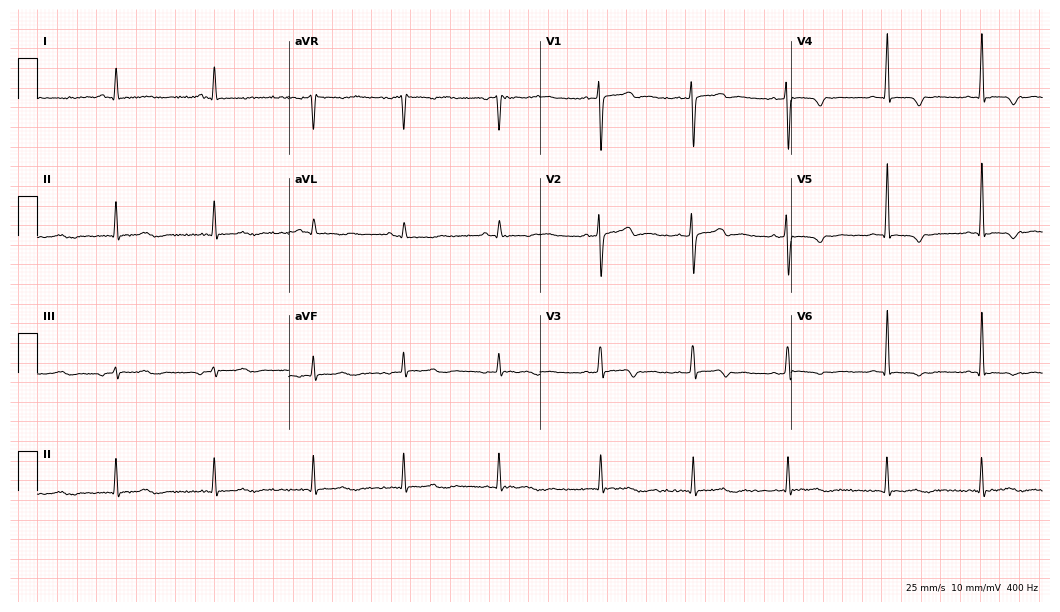
Standard 12-lead ECG recorded from a 20-year-old female. None of these six findings is recorded: first-degree AV block, right bundle branch block, left bundle branch block, sinus bradycardia, atrial fibrillation, sinus tachycardia. Other findings, if any, are not listed.